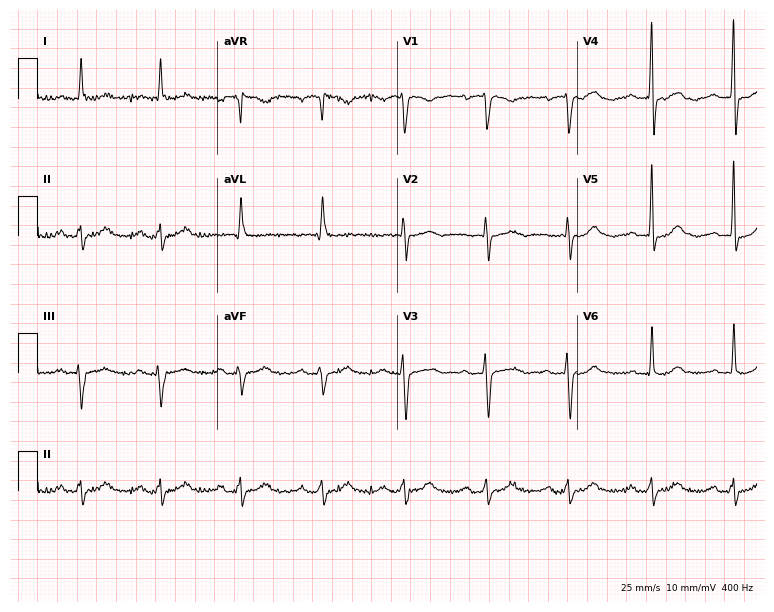
ECG — an 80-year-old female patient. Screened for six findings — first-degree AV block, right bundle branch block, left bundle branch block, sinus bradycardia, atrial fibrillation, sinus tachycardia — none is recorded.